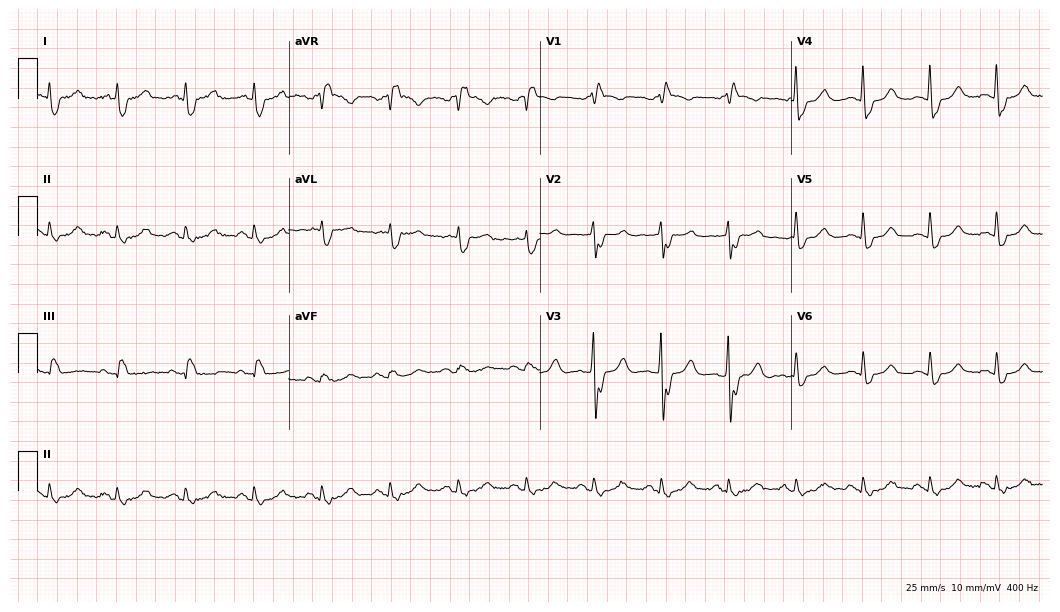
12-lead ECG from a female patient, 70 years old. No first-degree AV block, right bundle branch block (RBBB), left bundle branch block (LBBB), sinus bradycardia, atrial fibrillation (AF) or sinus tachycardia recorded for this tracing.